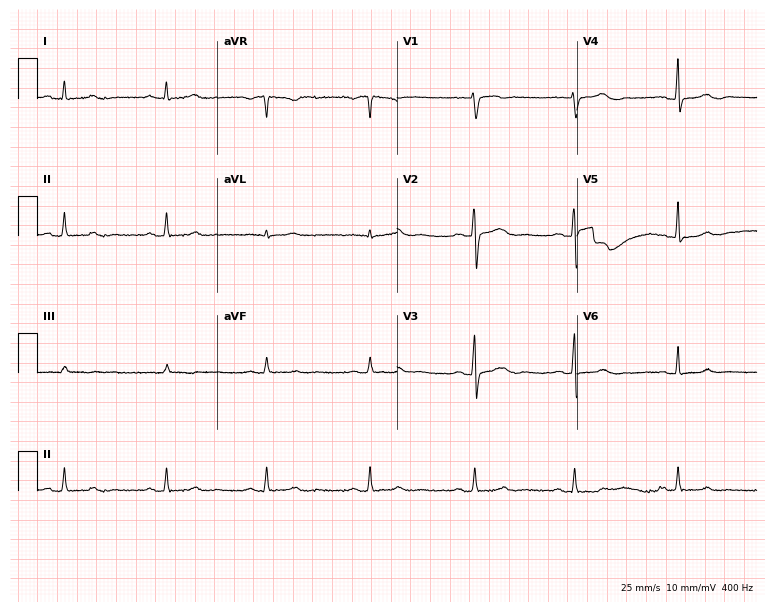
ECG — a female, 37 years old. Screened for six findings — first-degree AV block, right bundle branch block (RBBB), left bundle branch block (LBBB), sinus bradycardia, atrial fibrillation (AF), sinus tachycardia — none is recorded.